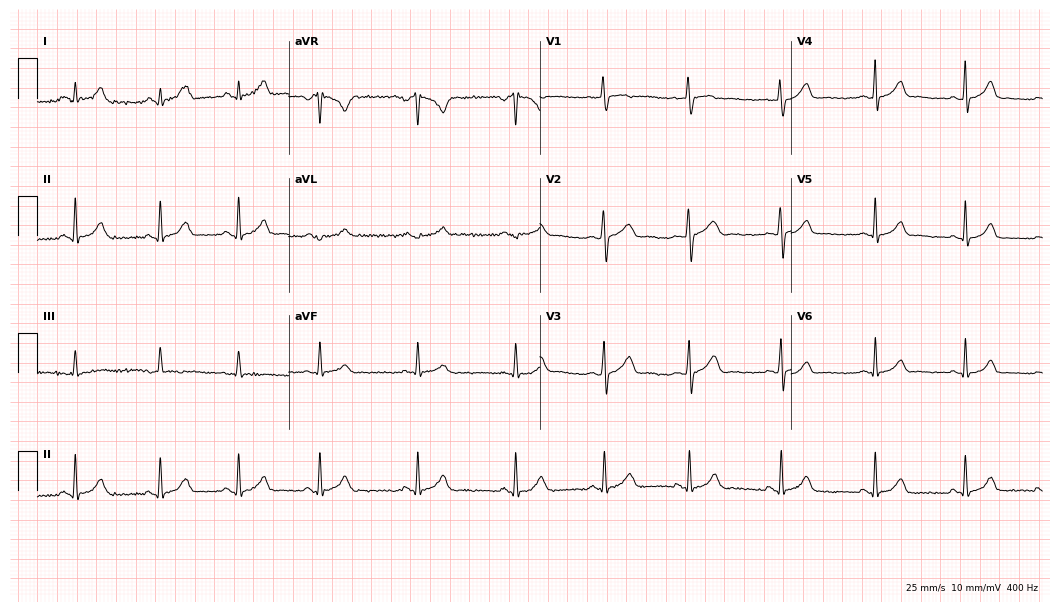
12-lead ECG from a female patient, 24 years old. Labelled as a normal ECG.